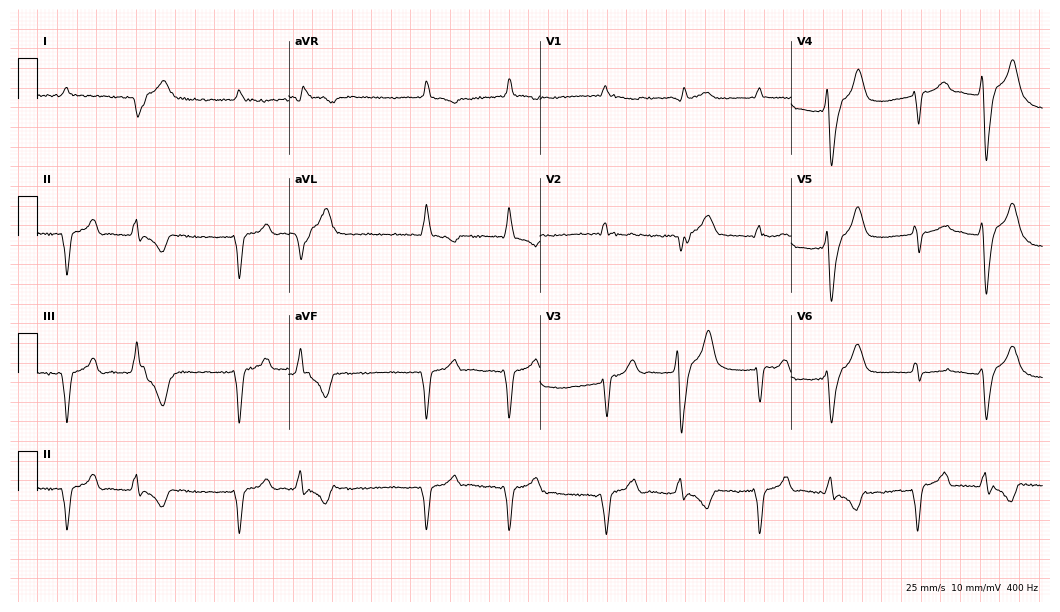
12-lead ECG (10.2-second recording at 400 Hz) from a 67-year-old man. Screened for six findings — first-degree AV block, right bundle branch block, left bundle branch block, sinus bradycardia, atrial fibrillation, sinus tachycardia — none is recorded.